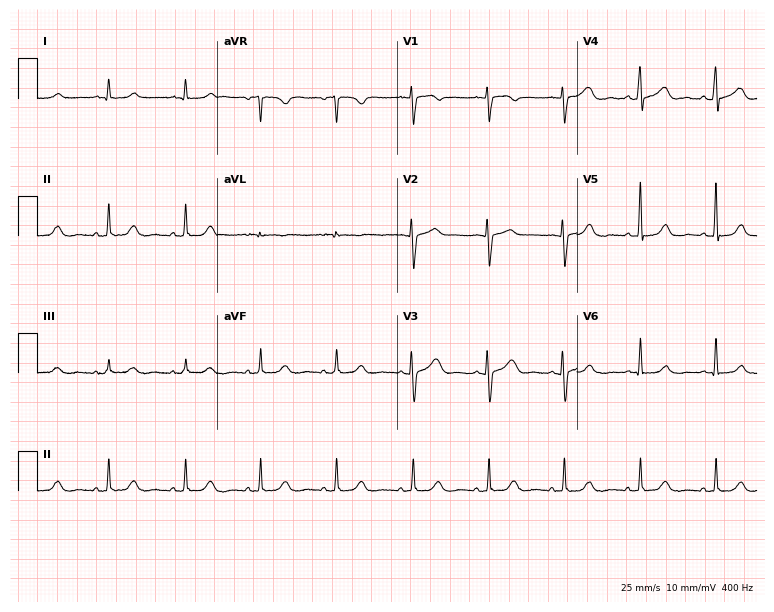
12-lead ECG from a woman, 59 years old. Labelled as a normal ECG.